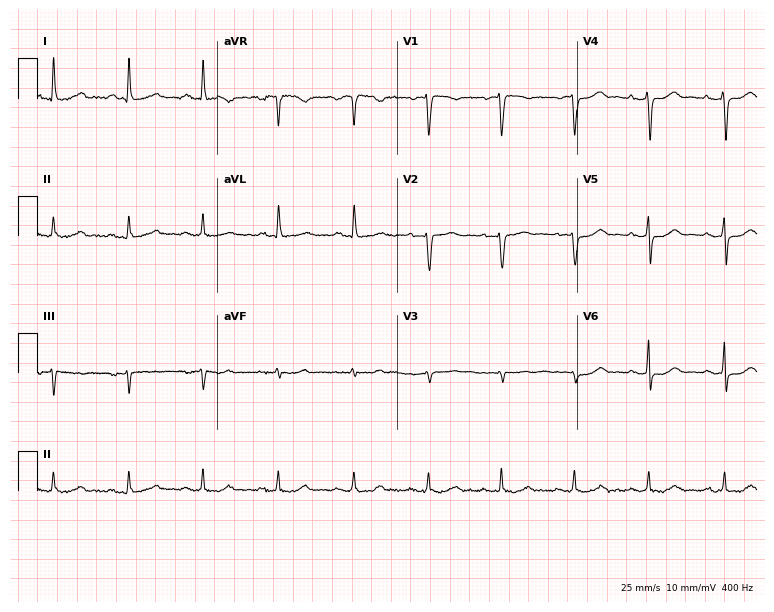
Electrocardiogram, a female, 50 years old. Of the six screened findings (first-degree AV block, right bundle branch block, left bundle branch block, sinus bradycardia, atrial fibrillation, sinus tachycardia), none is recorded.